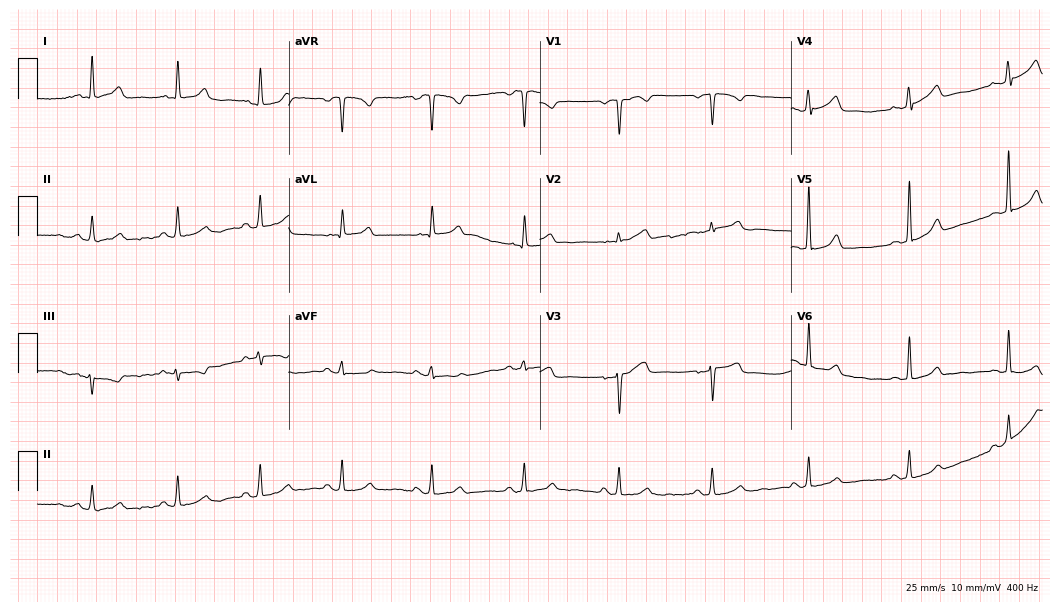
ECG — a female, 49 years old. Screened for six findings — first-degree AV block, right bundle branch block (RBBB), left bundle branch block (LBBB), sinus bradycardia, atrial fibrillation (AF), sinus tachycardia — none is recorded. Other findings, if any, are not listed.